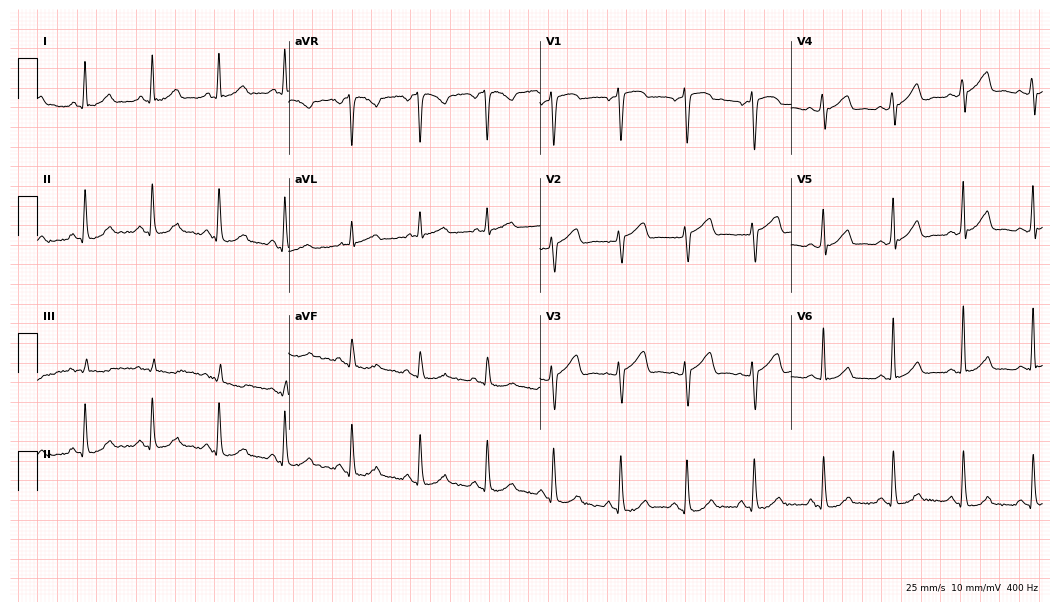
ECG — a 51-year-old female patient. Labelled as a normal ECG.